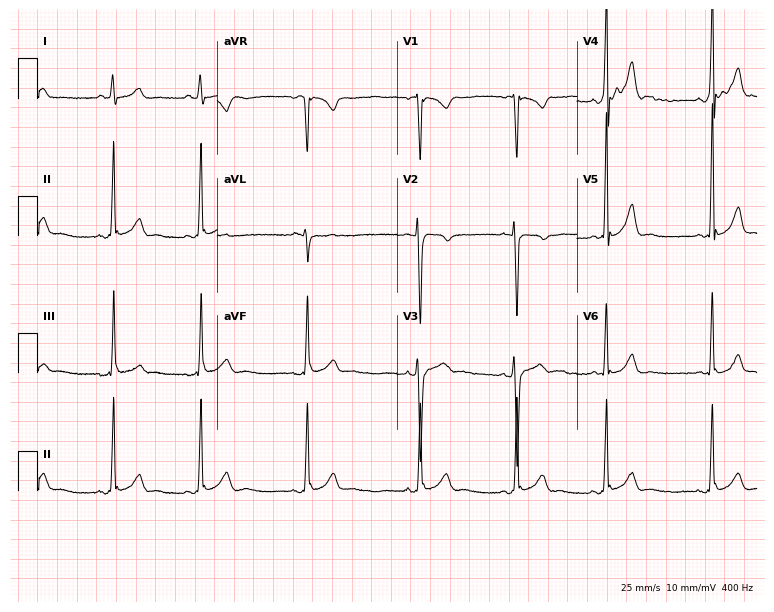
Resting 12-lead electrocardiogram. Patient: a 19-year-old male. None of these six findings is recorded: first-degree AV block, right bundle branch block, left bundle branch block, sinus bradycardia, atrial fibrillation, sinus tachycardia. Findings outside these six are not listed.